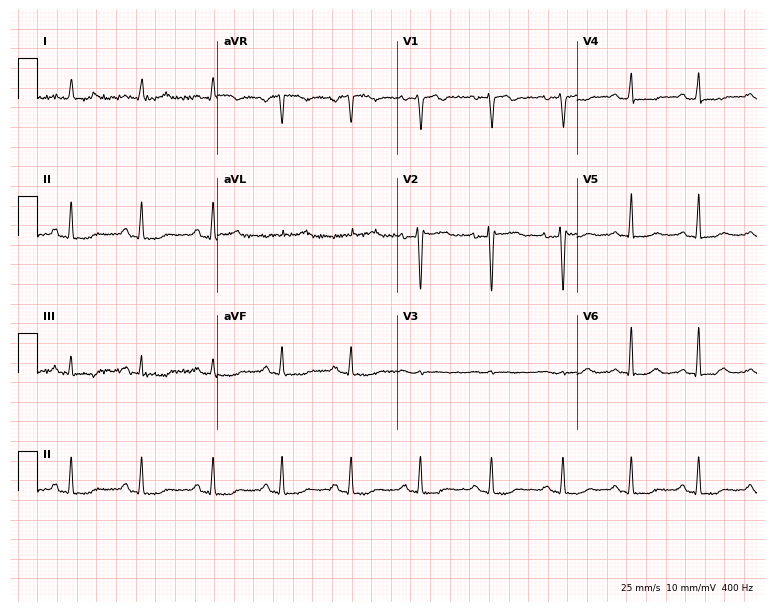
Standard 12-lead ECG recorded from a female patient, 37 years old (7.3-second recording at 400 Hz). None of these six findings is recorded: first-degree AV block, right bundle branch block, left bundle branch block, sinus bradycardia, atrial fibrillation, sinus tachycardia. Other findings, if any, are not listed.